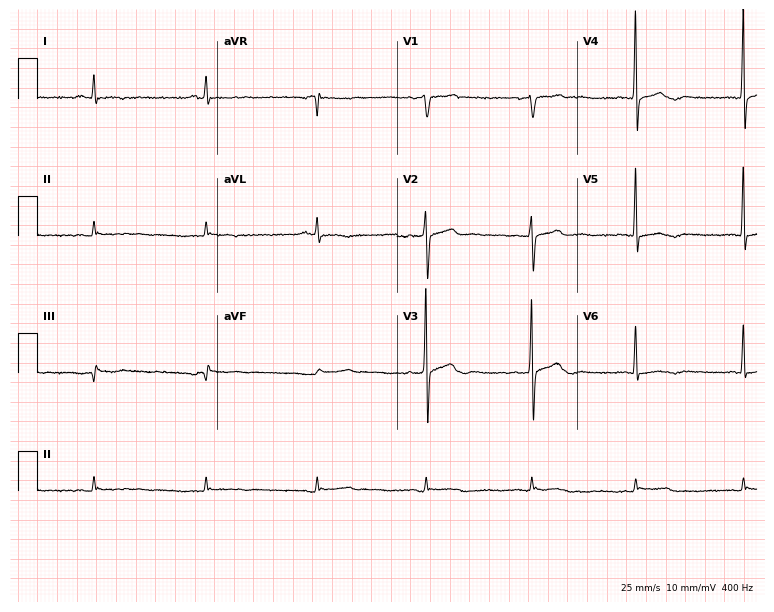
Standard 12-lead ECG recorded from a 68-year-old man. None of these six findings is recorded: first-degree AV block, right bundle branch block (RBBB), left bundle branch block (LBBB), sinus bradycardia, atrial fibrillation (AF), sinus tachycardia. Only these six findings were labelled.